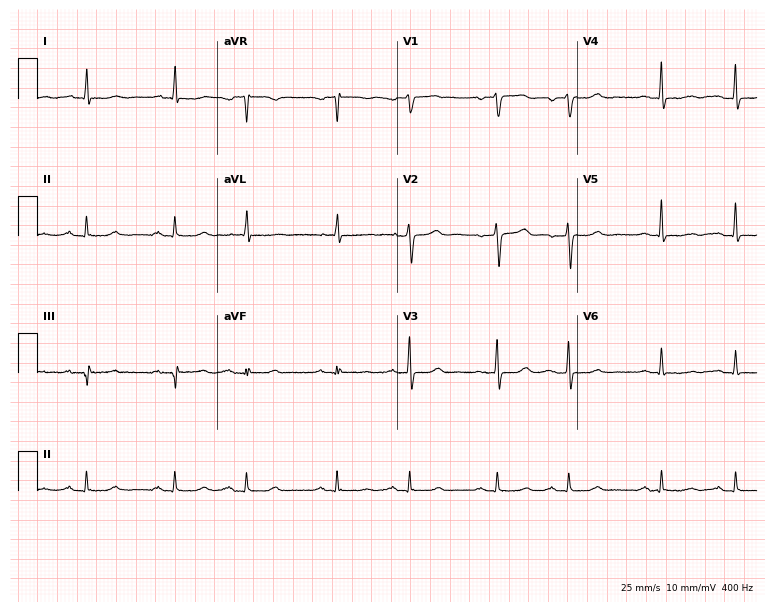
12-lead ECG (7.3-second recording at 400 Hz) from a 74-year-old female. Screened for six findings — first-degree AV block, right bundle branch block, left bundle branch block, sinus bradycardia, atrial fibrillation, sinus tachycardia — none is recorded. Findings outside these six are not listed.